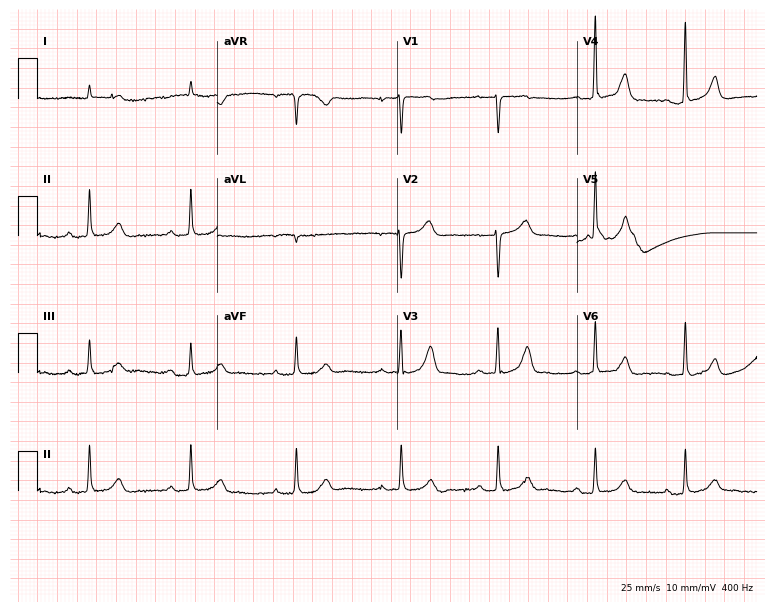
Standard 12-lead ECG recorded from a woman, 67 years old. Read as a normal ECG.